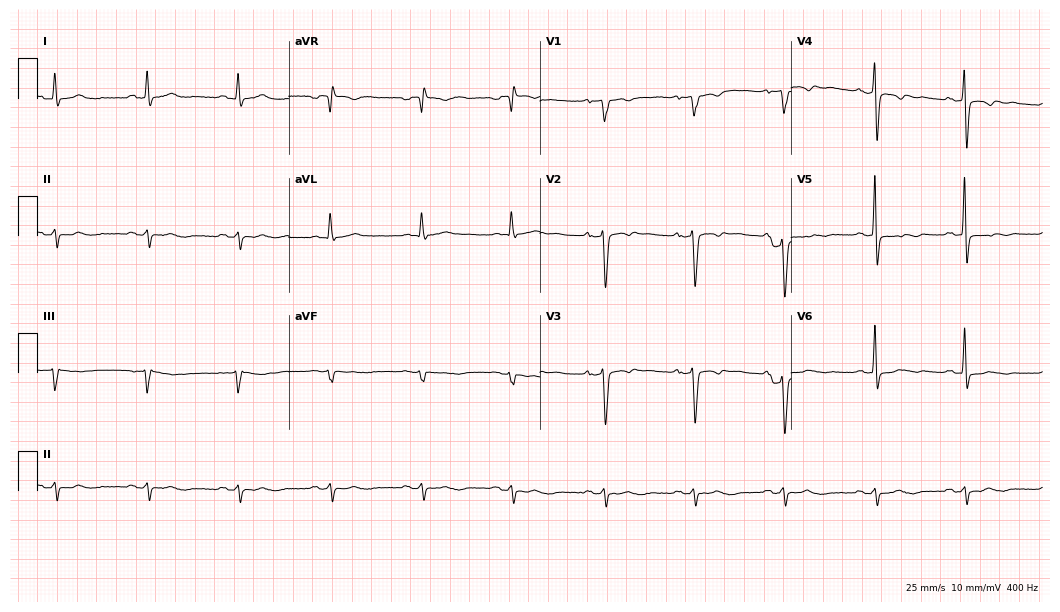
Electrocardiogram (10.2-second recording at 400 Hz), a man, 70 years old. Of the six screened findings (first-degree AV block, right bundle branch block, left bundle branch block, sinus bradycardia, atrial fibrillation, sinus tachycardia), none is recorded.